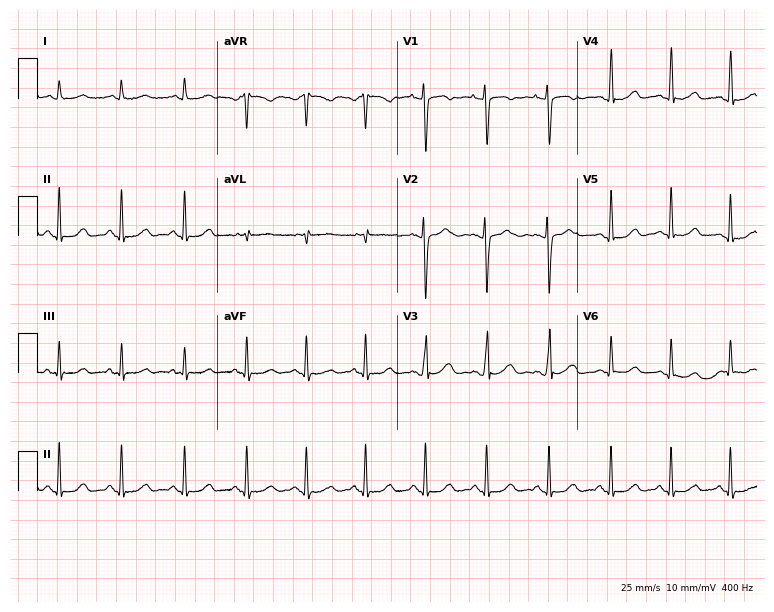
12-lead ECG (7.3-second recording at 400 Hz) from a female patient, 21 years old. Screened for six findings — first-degree AV block, right bundle branch block, left bundle branch block, sinus bradycardia, atrial fibrillation, sinus tachycardia — none is recorded.